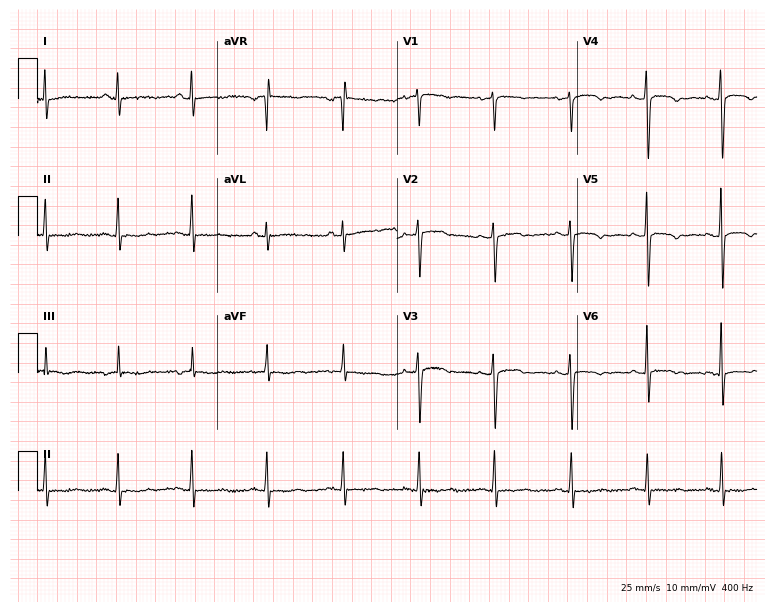
12-lead ECG (7.3-second recording at 400 Hz) from a 50-year-old female patient. Screened for six findings — first-degree AV block, right bundle branch block, left bundle branch block, sinus bradycardia, atrial fibrillation, sinus tachycardia — none is recorded. Findings outside these six are not listed.